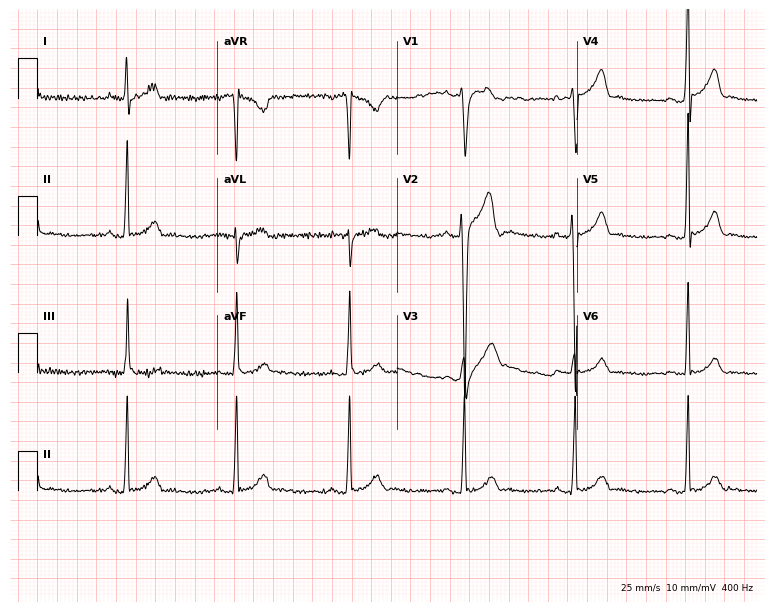
12-lead ECG (7.3-second recording at 400 Hz) from a male, 17 years old. Screened for six findings — first-degree AV block, right bundle branch block, left bundle branch block, sinus bradycardia, atrial fibrillation, sinus tachycardia — none is recorded.